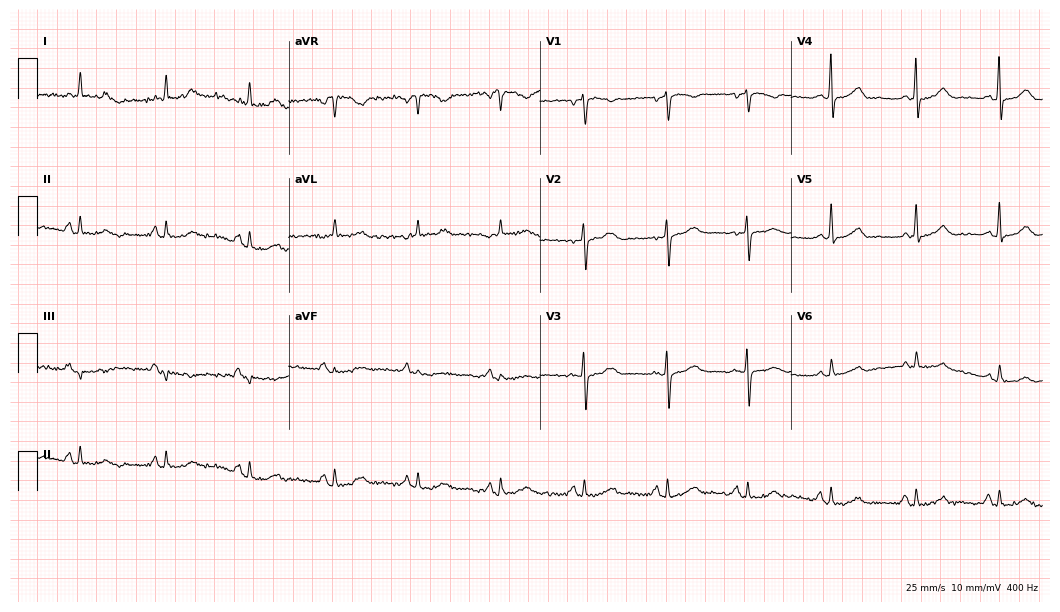
Electrocardiogram, a female patient, 64 years old. Of the six screened findings (first-degree AV block, right bundle branch block (RBBB), left bundle branch block (LBBB), sinus bradycardia, atrial fibrillation (AF), sinus tachycardia), none is recorded.